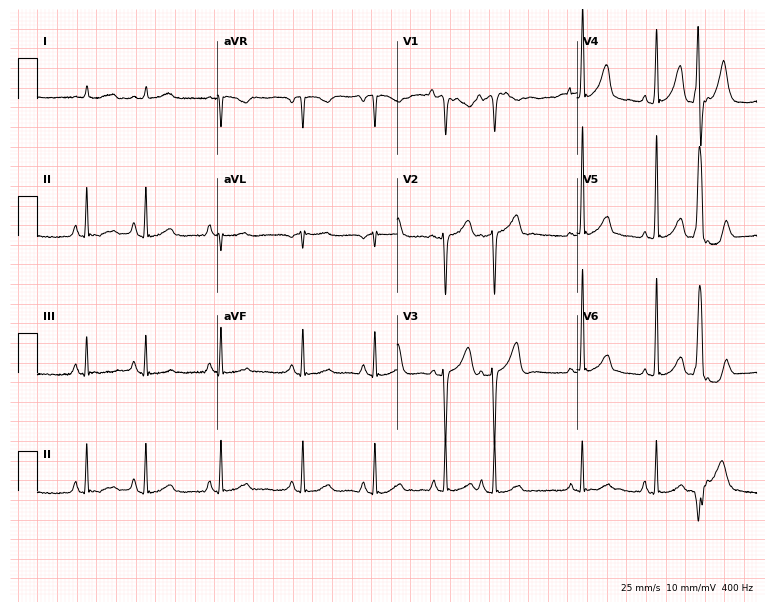
12-lead ECG from a male, 78 years old. No first-degree AV block, right bundle branch block, left bundle branch block, sinus bradycardia, atrial fibrillation or sinus tachycardia recorded for this tracing. Other findings, if any, are not listed.